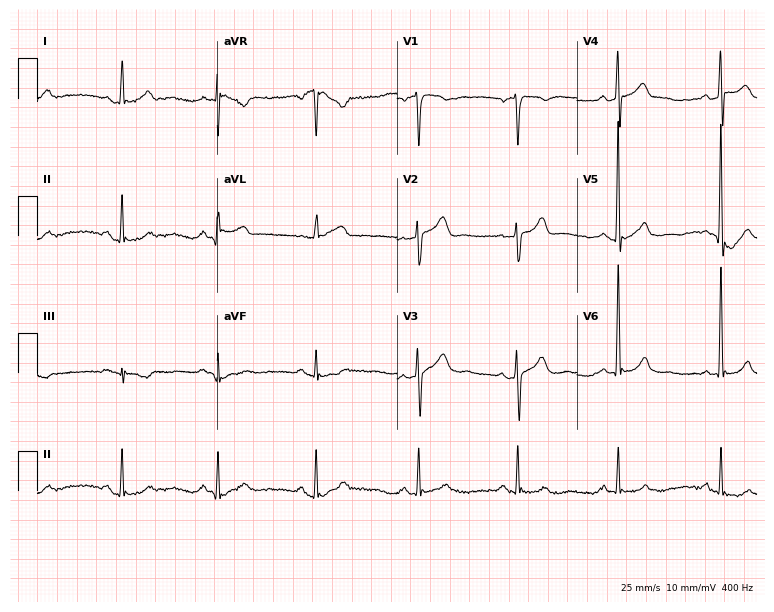
Resting 12-lead electrocardiogram (7.3-second recording at 400 Hz). Patient: a 61-year-old man. None of these six findings is recorded: first-degree AV block, right bundle branch block (RBBB), left bundle branch block (LBBB), sinus bradycardia, atrial fibrillation (AF), sinus tachycardia.